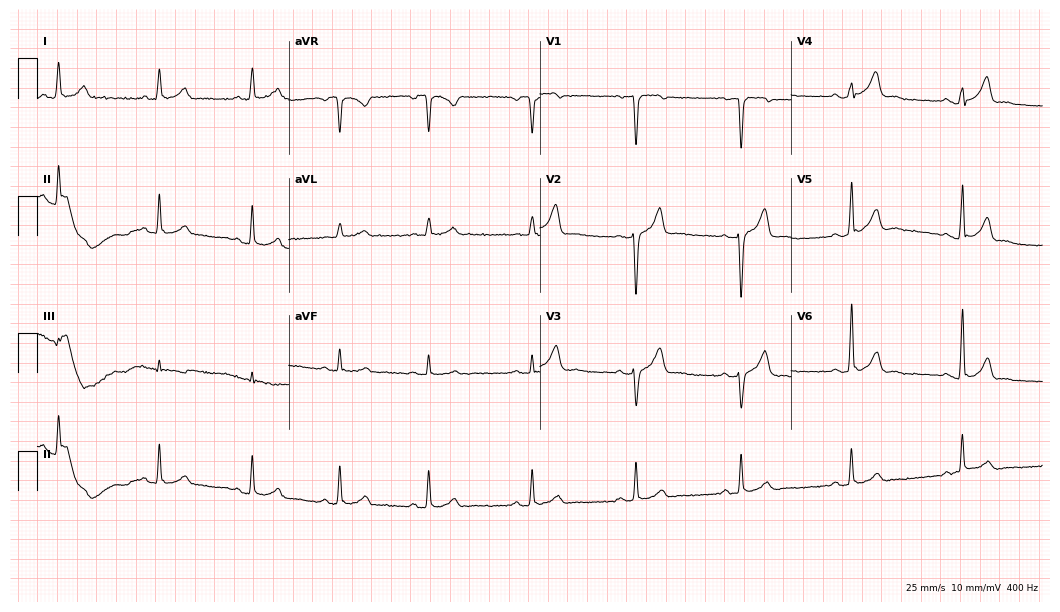
12-lead ECG from a male patient, 45 years old (10.2-second recording at 400 Hz). Recorded interpretation: within normal limits.